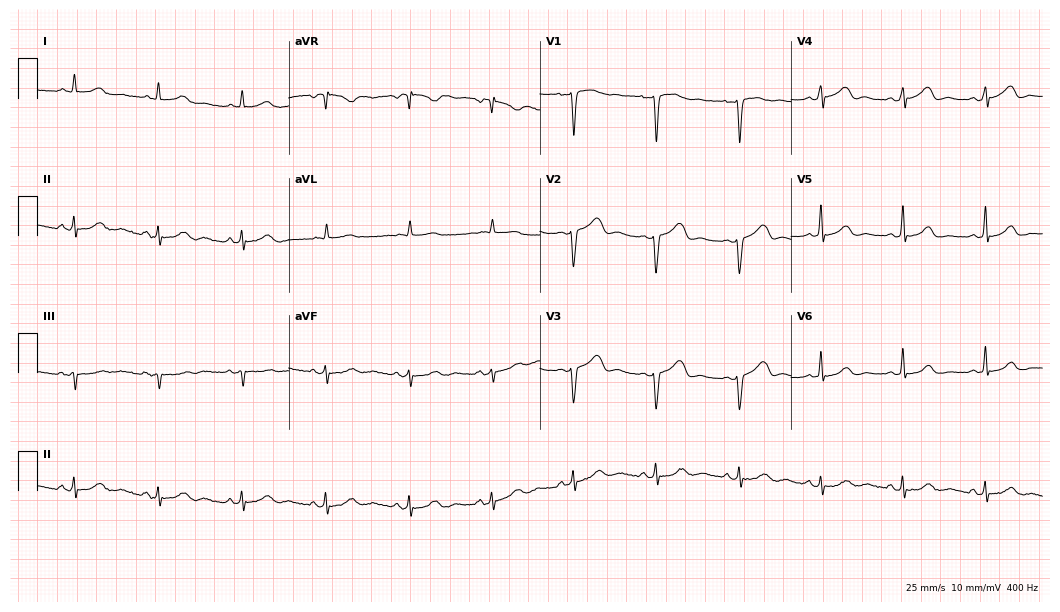
Resting 12-lead electrocardiogram. Patient: a woman, 44 years old. None of these six findings is recorded: first-degree AV block, right bundle branch block, left bundle branch block, sinus bradycardia, atrial fibrillation, sinus tachycardia.